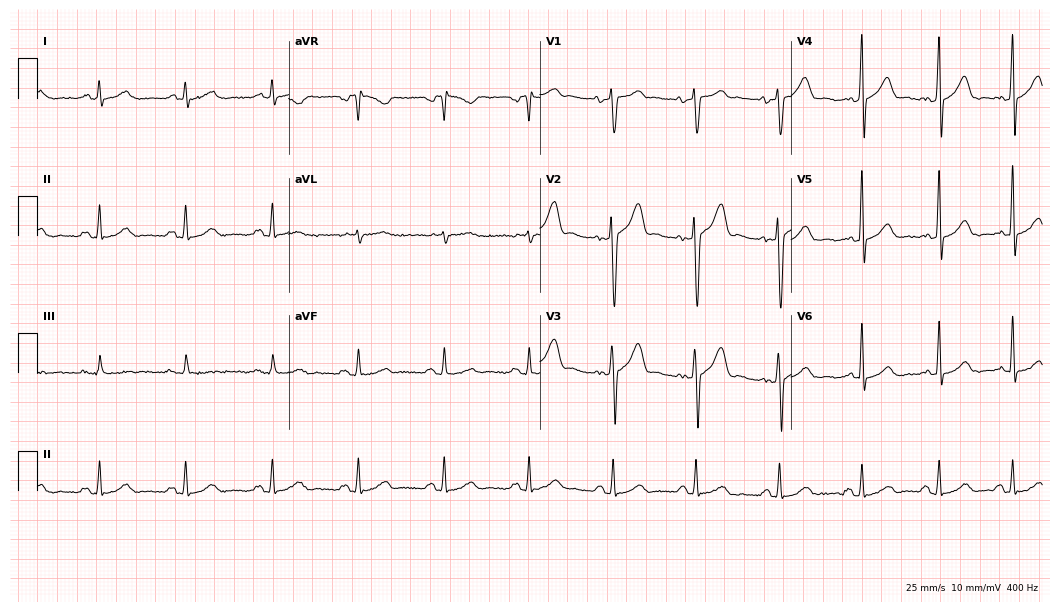
12-lead ECG (10.2-second recording at 400 Hz) from a 51-year-old male. Labelled as a normal ECG.